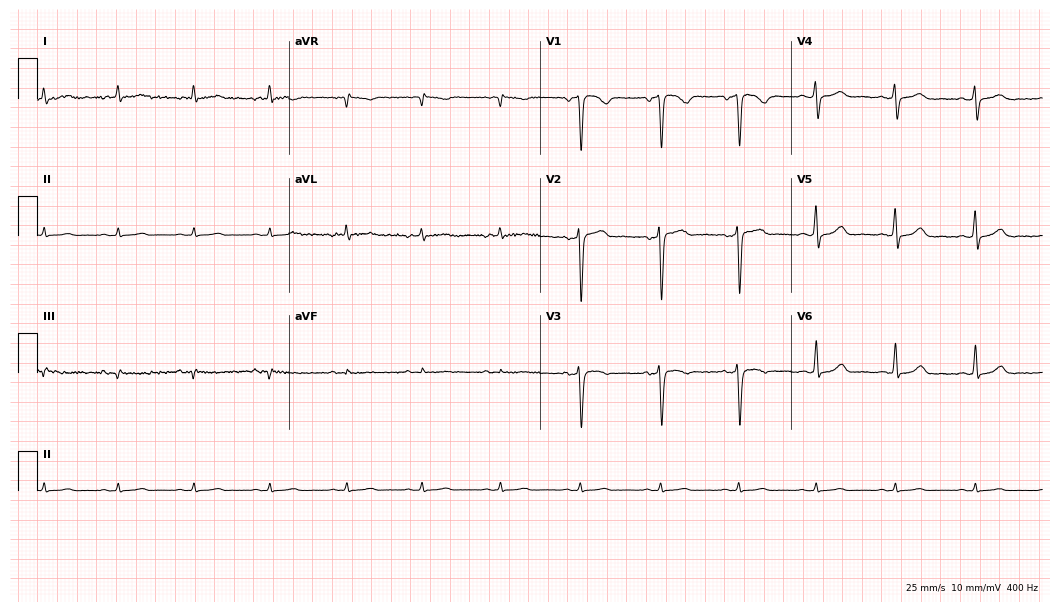
Standard 12-lead ECG recorded from a 52-year-old woman. Read as a normal ECG.